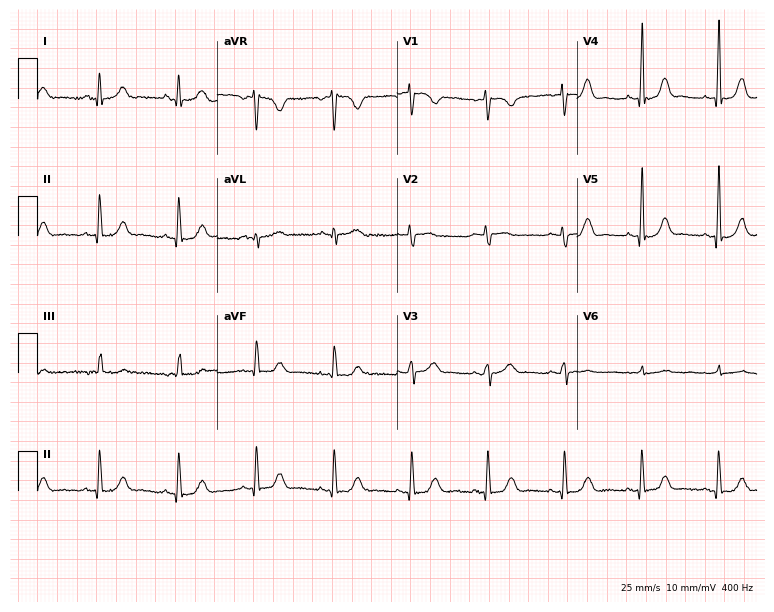
12-lead ECG from a 61-year-old woman (7.3-second recording at 400 Hz). Recorded interpretation: within normal limits.